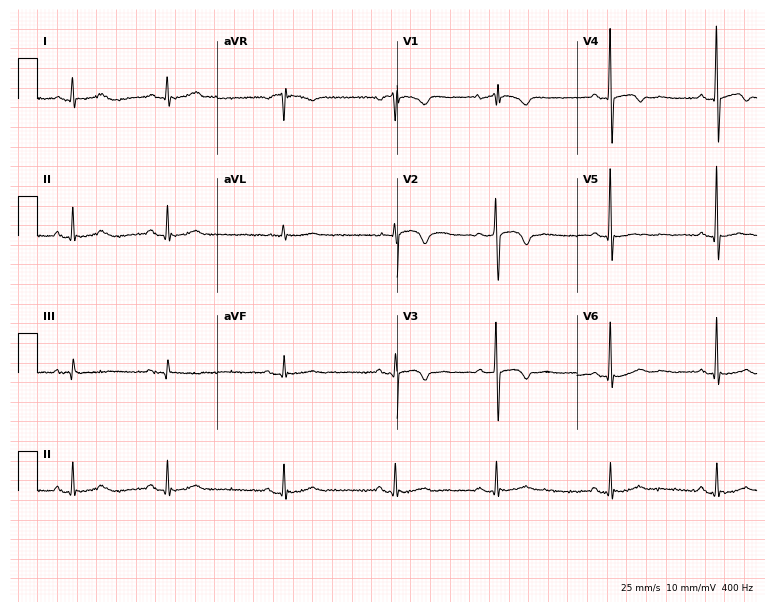
Electrocardiogram, a man, 85 years old. Of the six screened findings (first-degree AV block, right bundle branch block (RBBB), left bundle branch block (LBBB), sinus bradycardia, atrial fibrillation (AF), sinus tachycardia), none is recorded. Other findings, if any, are not listed.